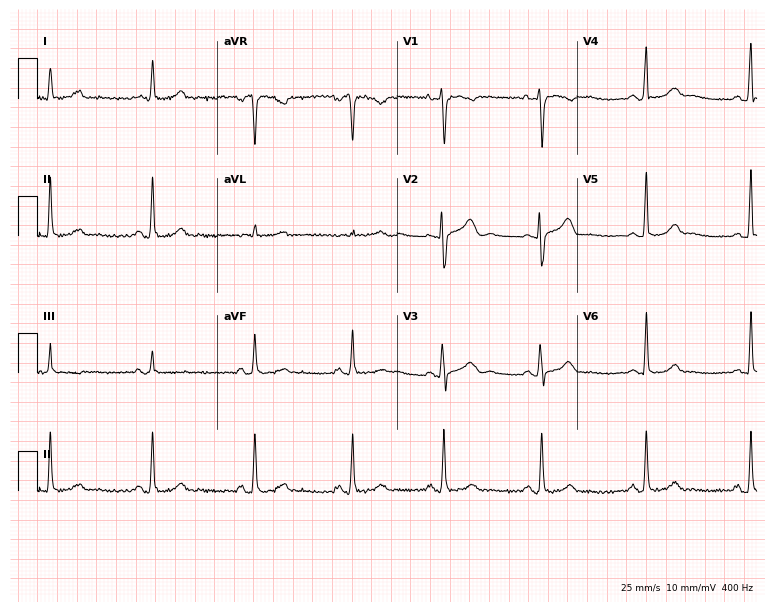
Electrocardiogram (7.3-second recording at 400 Hz), a 33-year-old female. Overall reading on record: normal ECG.